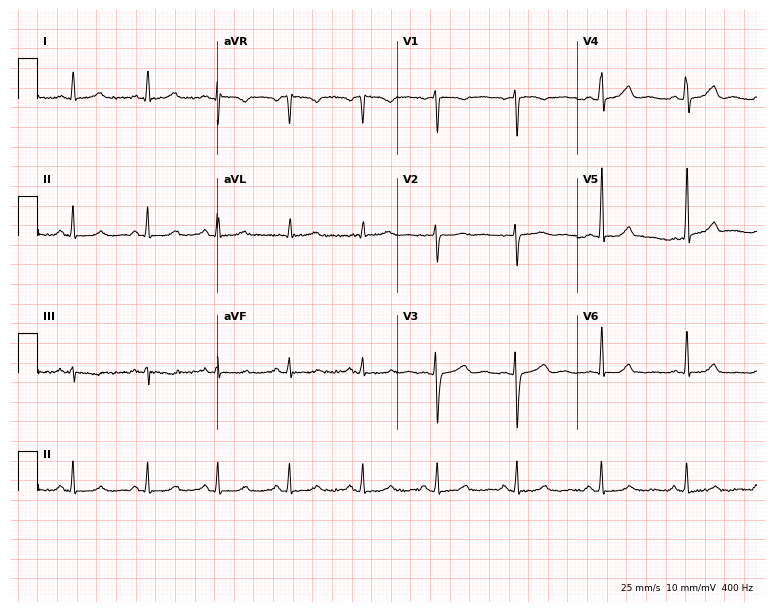
Standard 12-lead ECG recorded from a female, 42 years old (7.3-second recording at 400 Hz). Read as a normal ECG.